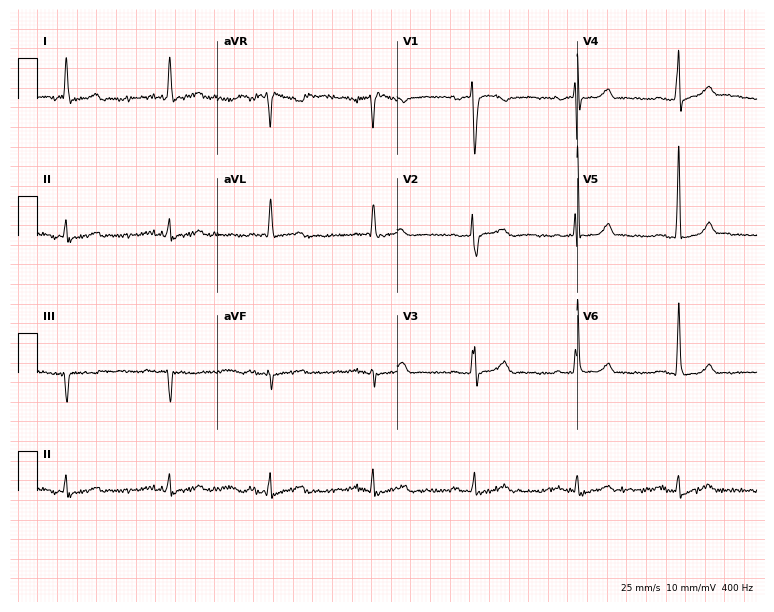
ECG — a female, 78 years old. Labelled as a normal ECG.